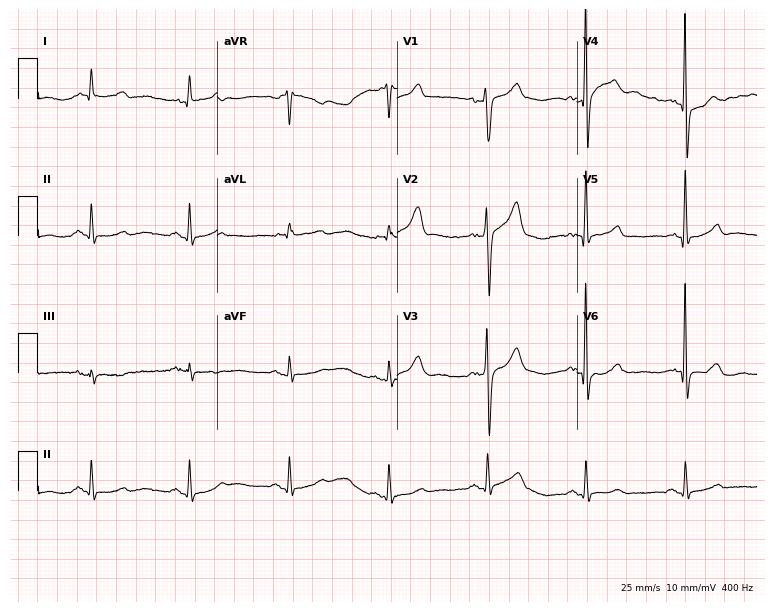
ECG — a man, 57 years old. Screened for six findings — first-degree AV block, right bundle branch block (RBBB), left bundle branch block (LBBB), sinus bradycardia, atrial fibrillation (AF), sinus tachycardia — none is recorded. Findings outside these six are not listed.